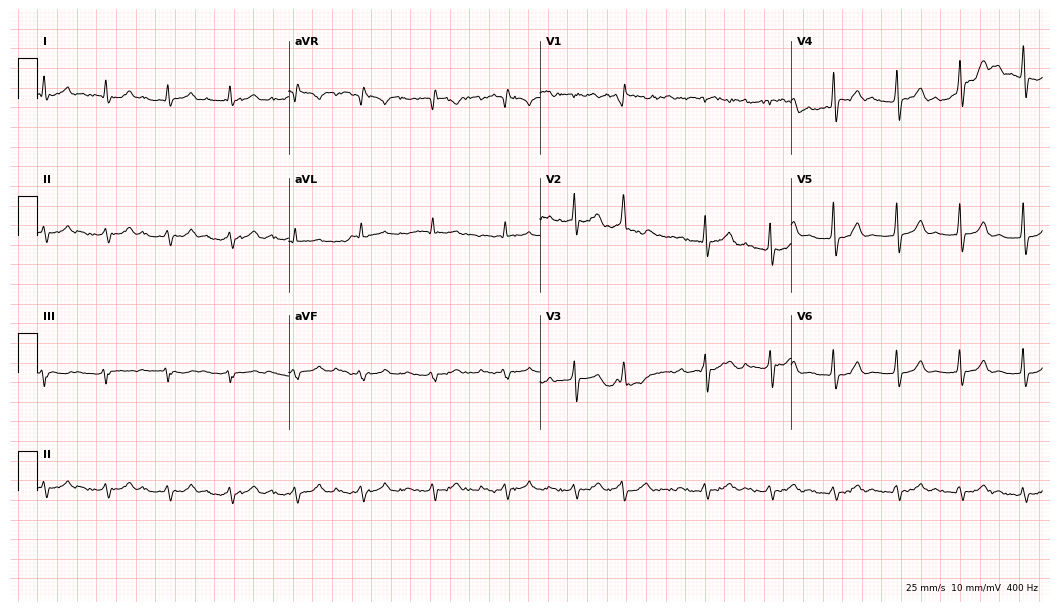
12-lead ECG from a 73-year-old male patient (10.2-second recording at 400 Hz). Shows first-degree AV block.